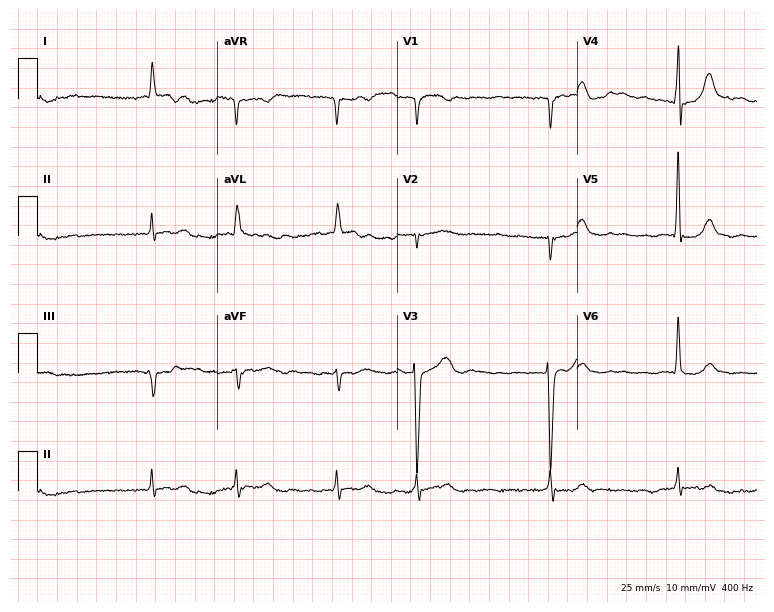
Resting 12-lead electrocardiogram. Patient: a male, 74 years old. The tracing shows atrial fibrillation.